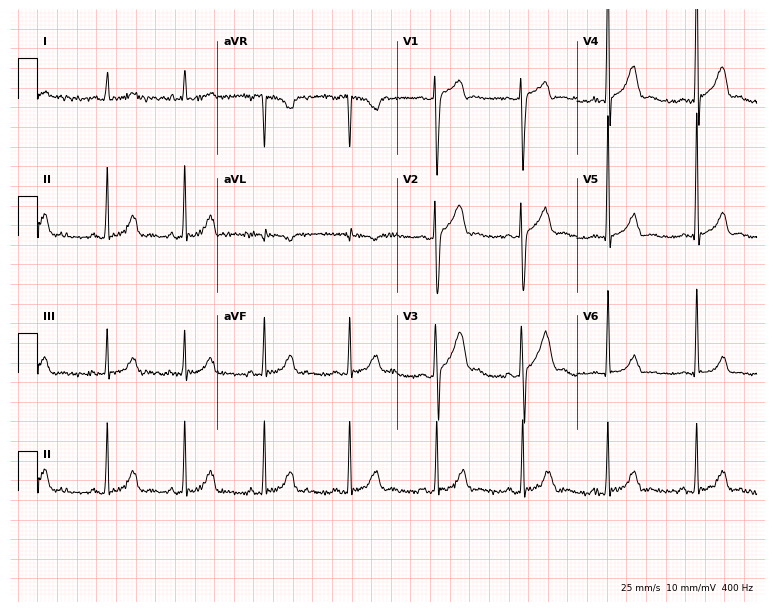
Electrocardiogram, a 34-year-old male. Overall reading on record: normal ECG.